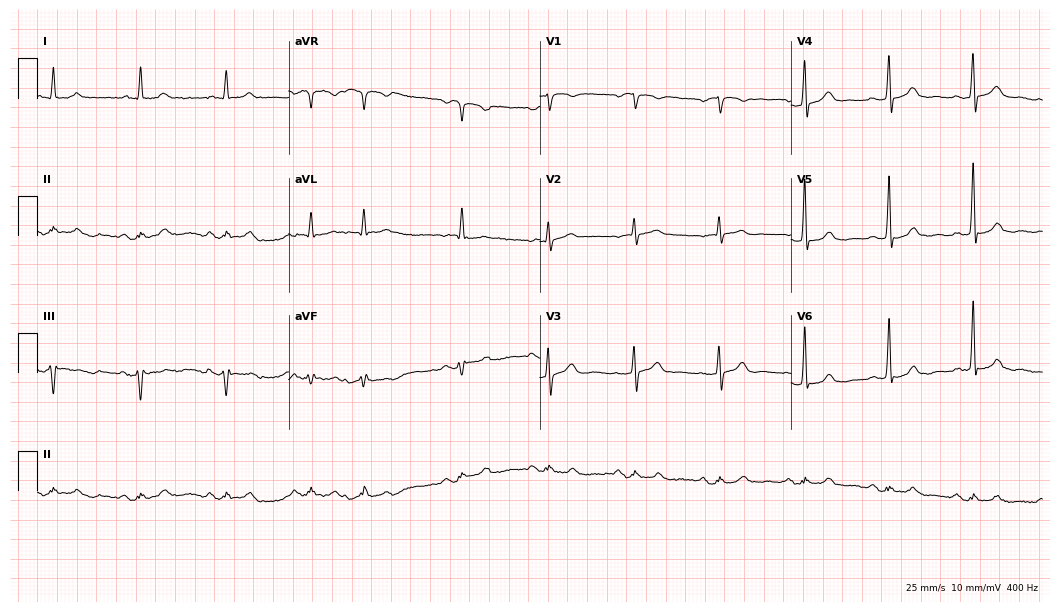
ECG (10.2-second recording at 400 Hz) — a male patient, 85 years old. Labelled as a normal ECG.